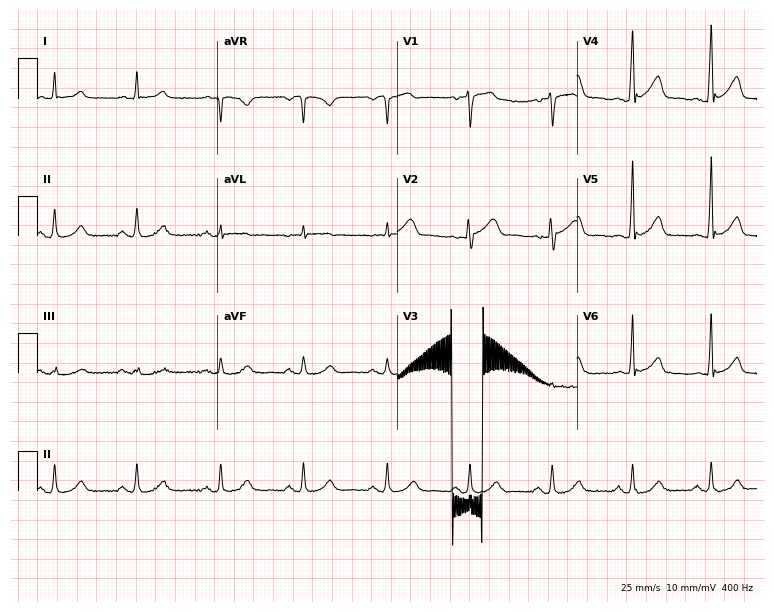
12-lead ECG from a male patient, 59 years old. Recorded interpretation: within normal limits.